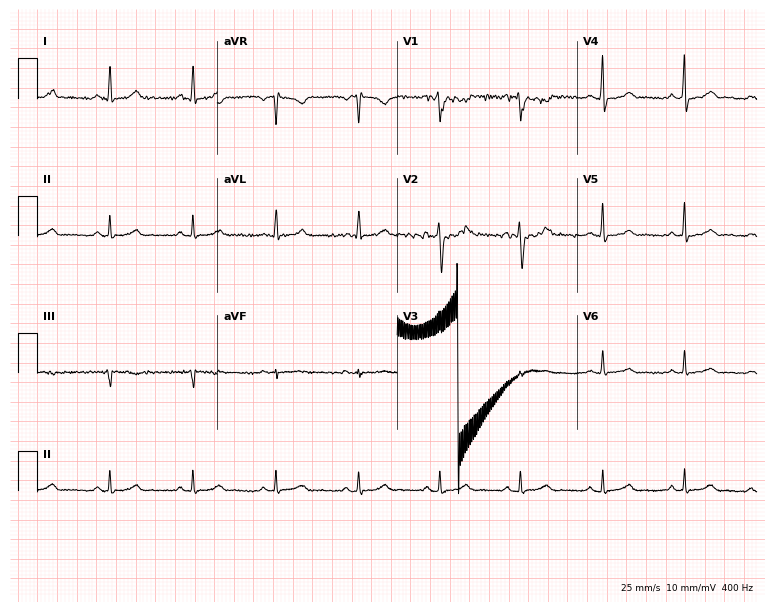
Resting 12-lead electrocardiogram. Patient: a female, 42 years old. Read as a normal ECG.